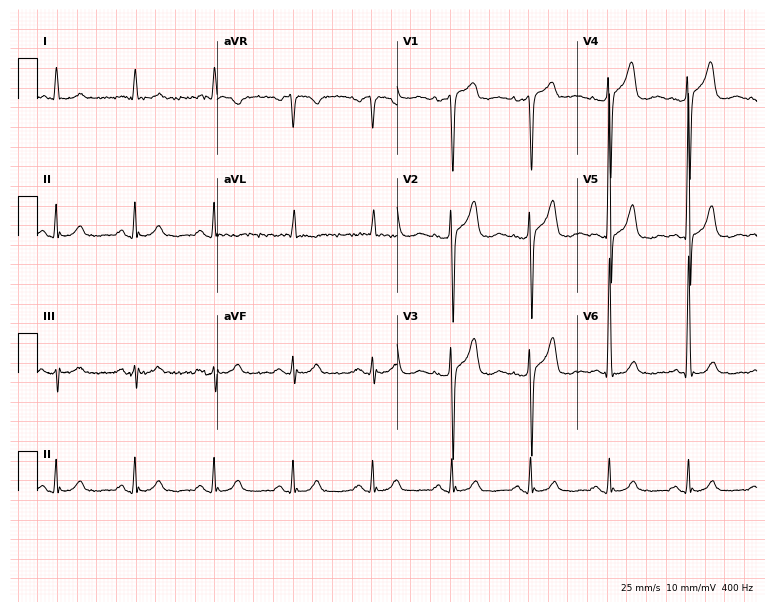
Standard 12-lead ECG recorded from a man, 80 years old. None of these six findings is recorded: first-degree AV block, right bundle branch block, left bundle branch block, sinus bradycardia, atrial fibrillation, sinus tachycardia.